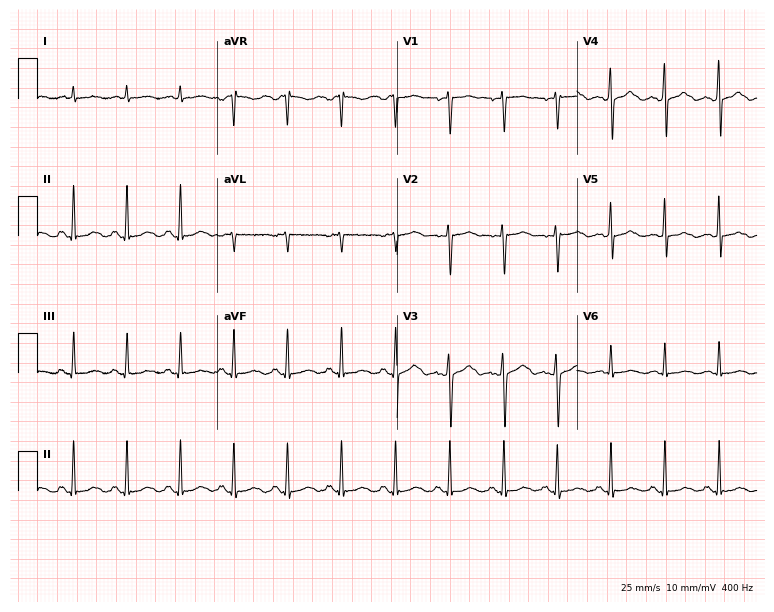
Standard 12-lead ECG recorded from a male, 41 years old (7.3-second recording at 400 Hz). The tracing shows sinus tachycardia (a sinus rate of 100 beats per minute or more).